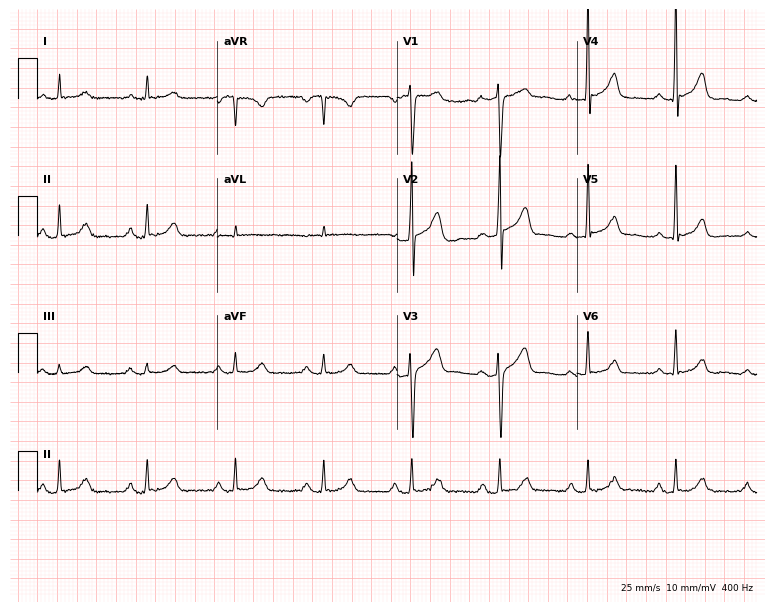
ECG (7.3-second recording at 400 Hz) — a male, 56 years old. Labelled as a normal ECG.